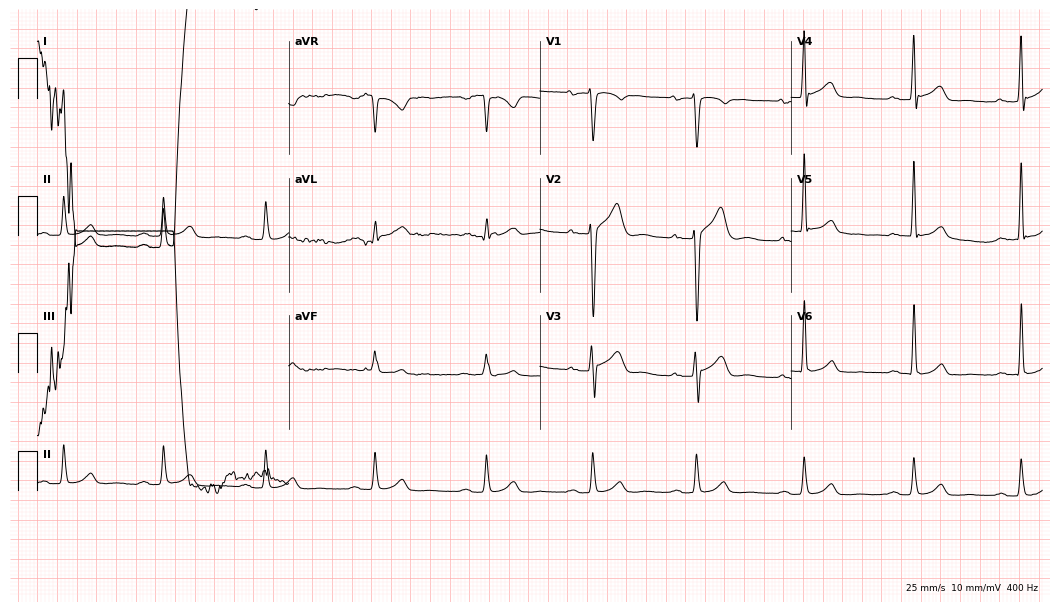
ECG (10.2-second recording at 400 Hz) — a 50-year-old male patient. Labelled as a normal ECG.